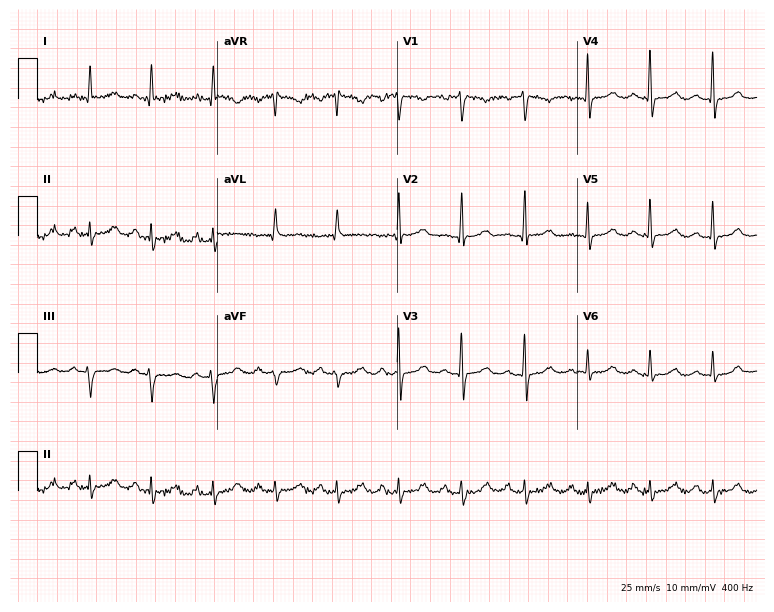
Electrocardiogram (7.3-second recording at 400 Hz), a woman, 51 years old. Overall reading on record: normal ECG.